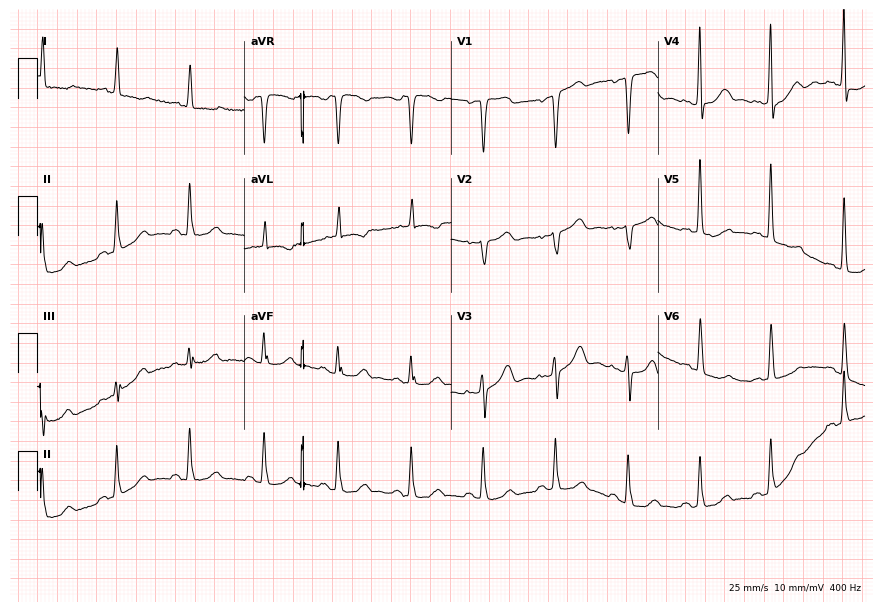
Electrocardiogram, a female, 50 years old. Of the six screened findings (first-degree AV block, right bundle branch block, left bundle branch block, sinus bradycardia, atrial fibrillation, sinus tachycardia), none is recorded. Findings outside these six are not listed.